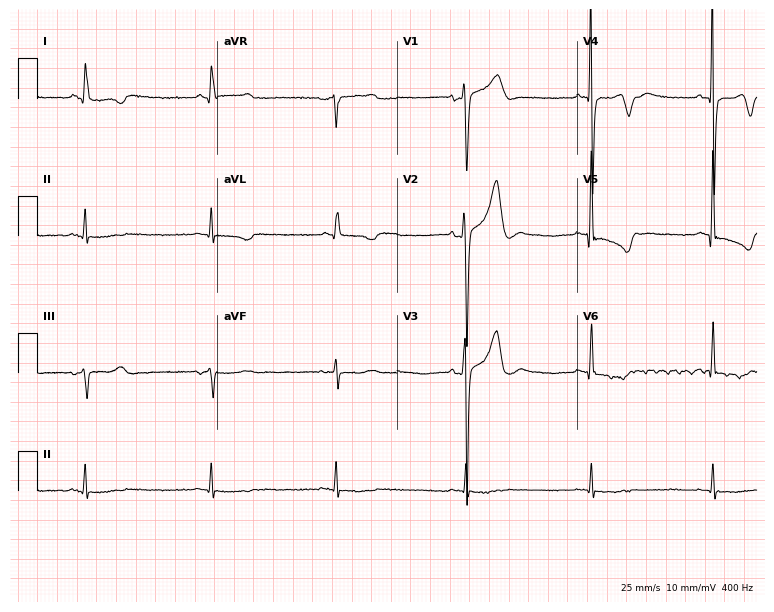
Standard 12-lead ECG recorded from a 64-year-old male (7.3-second recording at 400 Hz). None of these six findings is recorded: first-degree AV block, right bundle branch block (RBBB), left bundle branch block (LBBB), sinus bradycardia, atrial fibrillation (AF), sinus tachycardia. Findings outside these six are not listed.